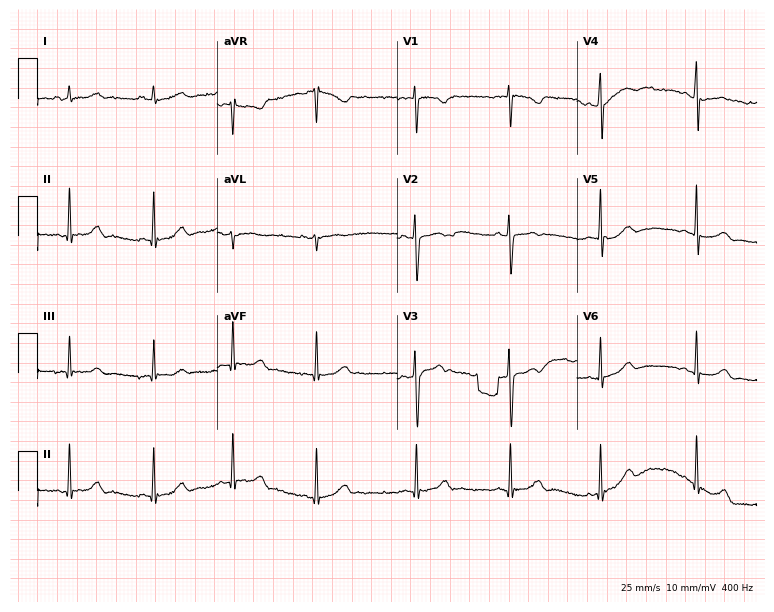
12-lead ECG from a 20-year-old female patient. Recorded interpretation: within normal limits.